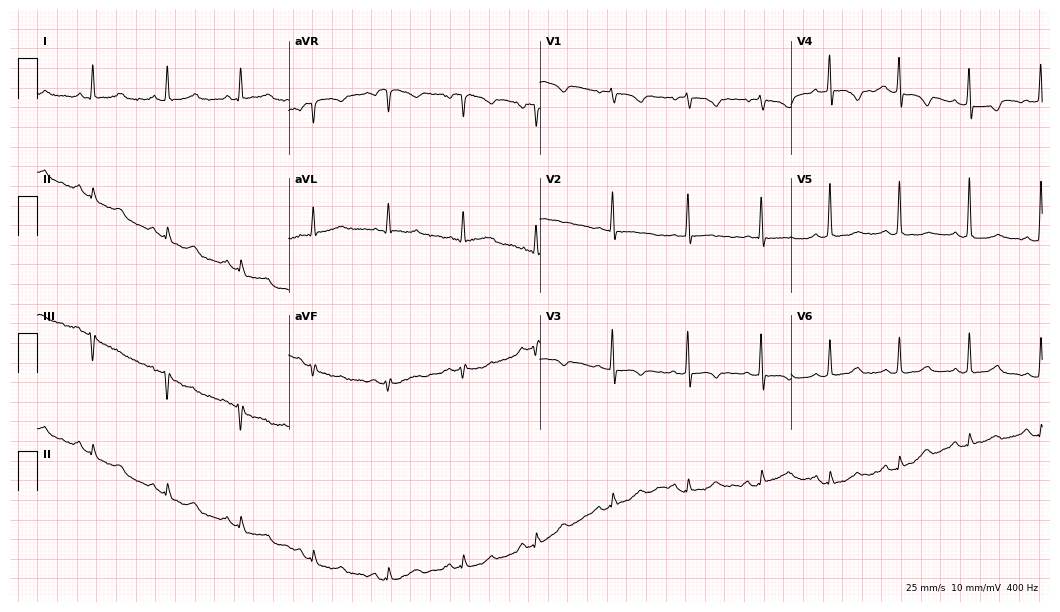
12-lead ECG from a female, 74 years old. Recorded interpretation: within normal limits.